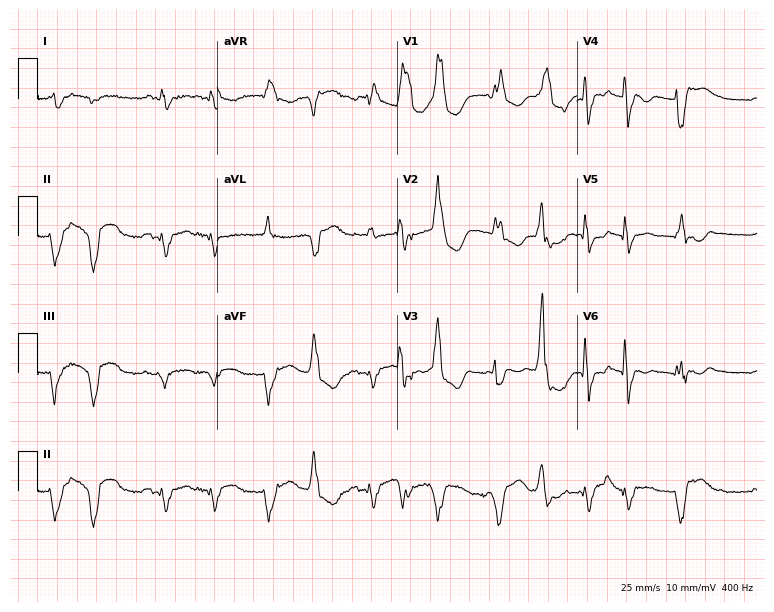
Resting 12-lead electrocardiogram. Patient: a woman, 70 years old. The tracing shows right bundle branch block.